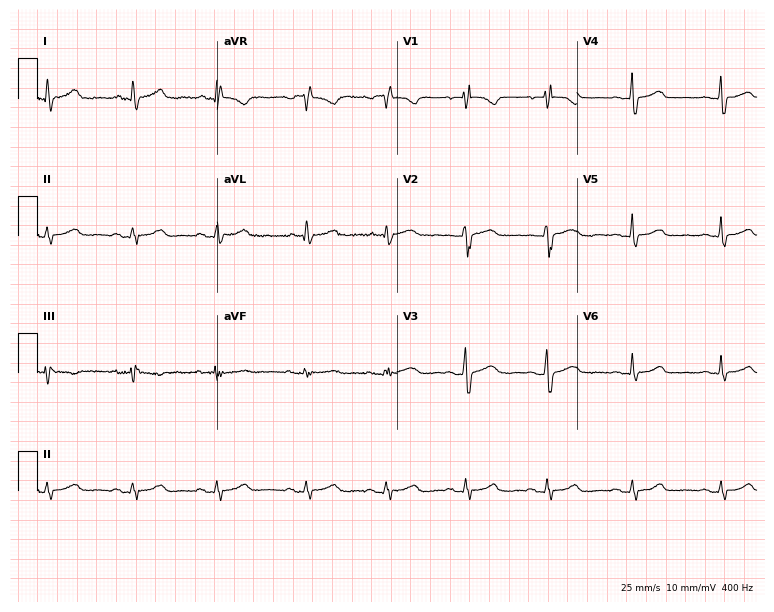
Electrocardiogram, a female patient, 48 years old. Of the six screened findings (first-degree AV block, right bundle branch block, left bundle branch block, sinus bradycardia, atrial fibrillation, sinus tachycardia), none is recorded. Only these six findings were labelled.